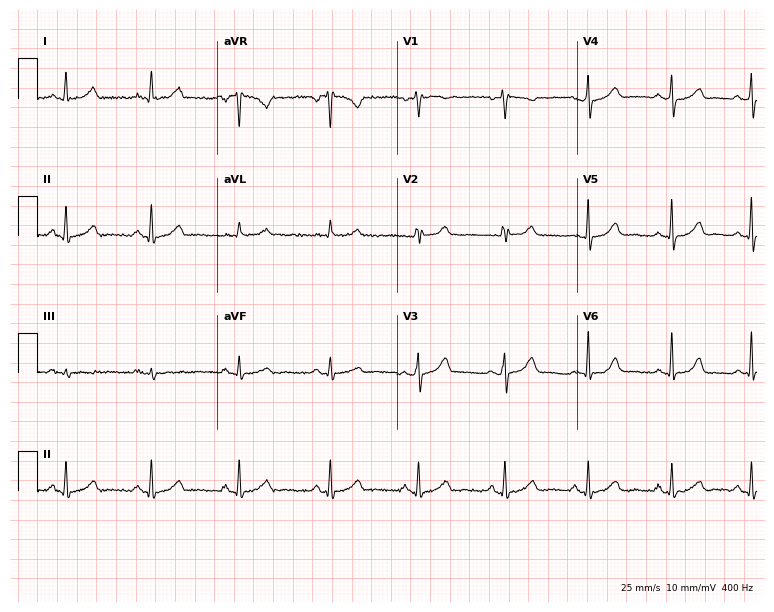
Electrocardiogram (7.3-second recording at 400 Hz), a 50-year-old female patient. Overall reading on record: normal ECG.